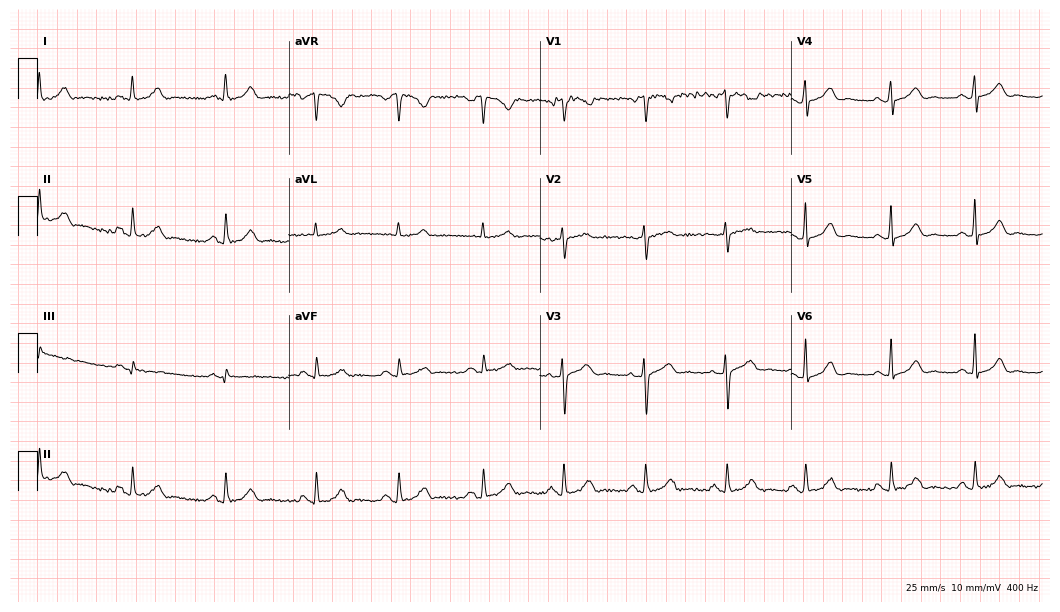
Resting 12-lead electrocardiogram (10.2-second recording at 400 Hz). Patient: a 34-year-old female. Read as a normal ECG.